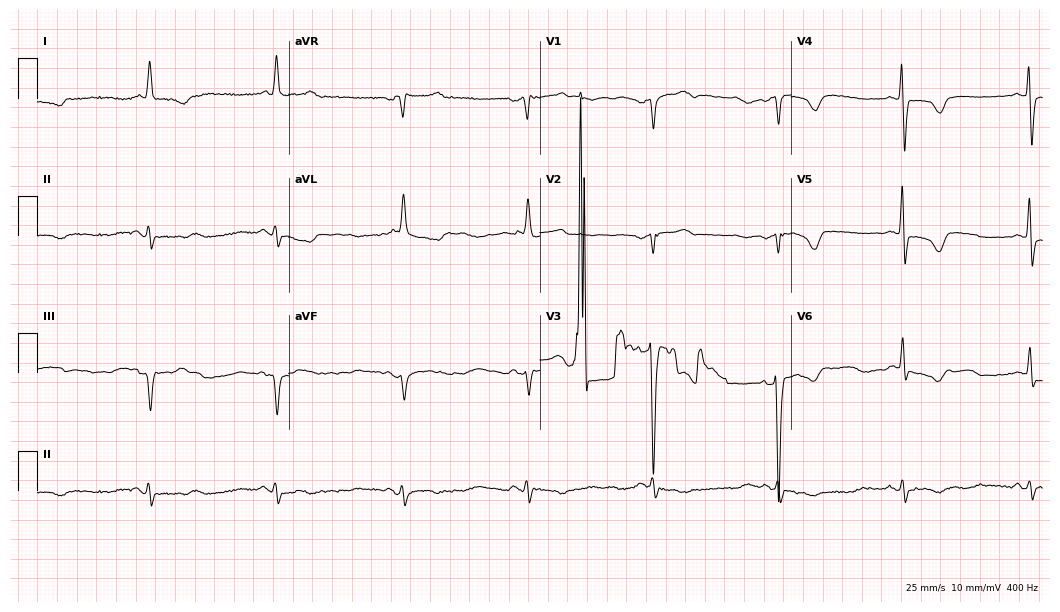
Electrocardiogram (10.2-second recording at 400 Hz), a male, 72 years old. Interpretation includes sinus bradycardia (a sinus rate of 50 beats per minute or less).